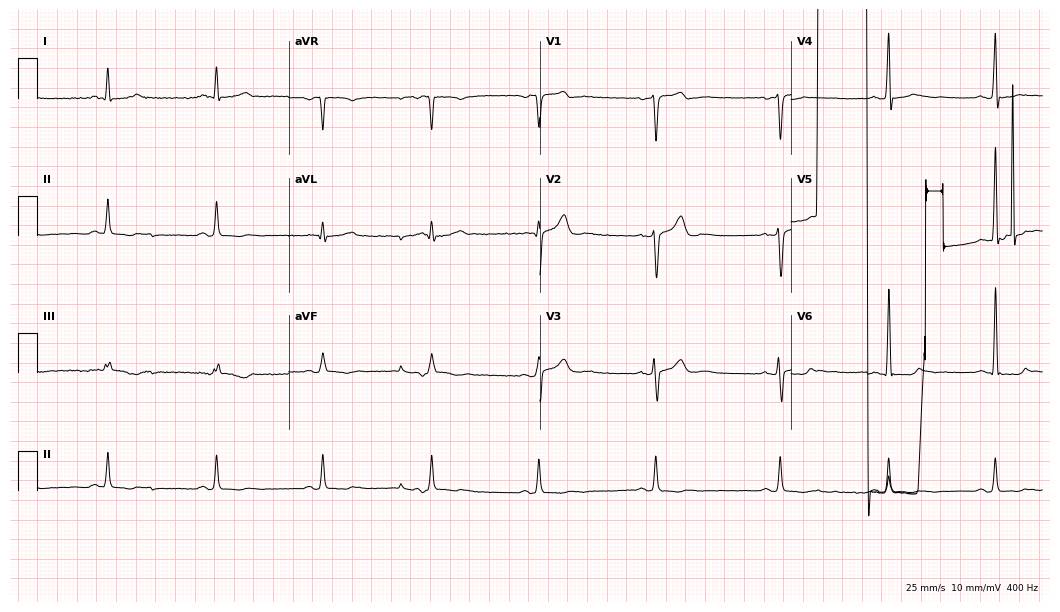
ECG — a 44-year-old male patient. Screened for six findings — first-degree AV block, right bundle branch block (RBBB), left bundle branch block (LBBB), sinus bradycardia, atrial fibrillation (AF), sinus tachycardia — none is recorded. Only these six findings were labelled.